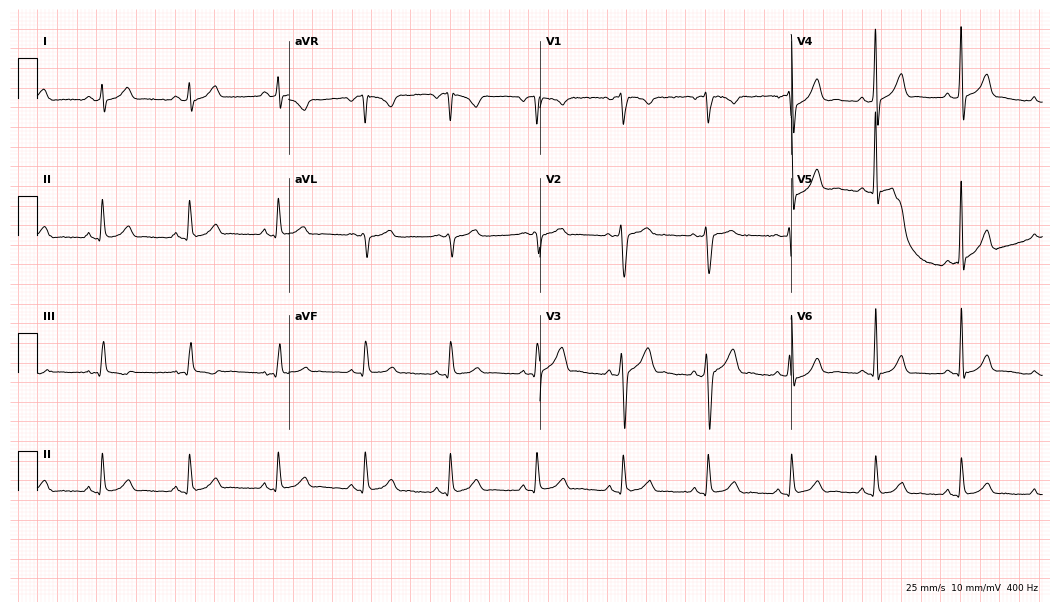
ECG — a man, 42 years old. Labelled as a normal ECG.